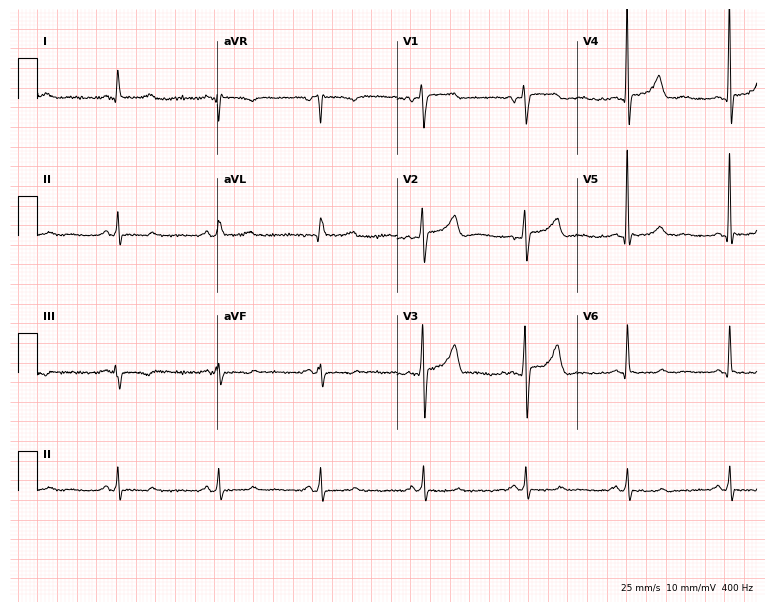
12-lead ECG from a 56-year-old male patient (7.3-second recording at 400 Hz). Recorded interpretation: within normal limits.